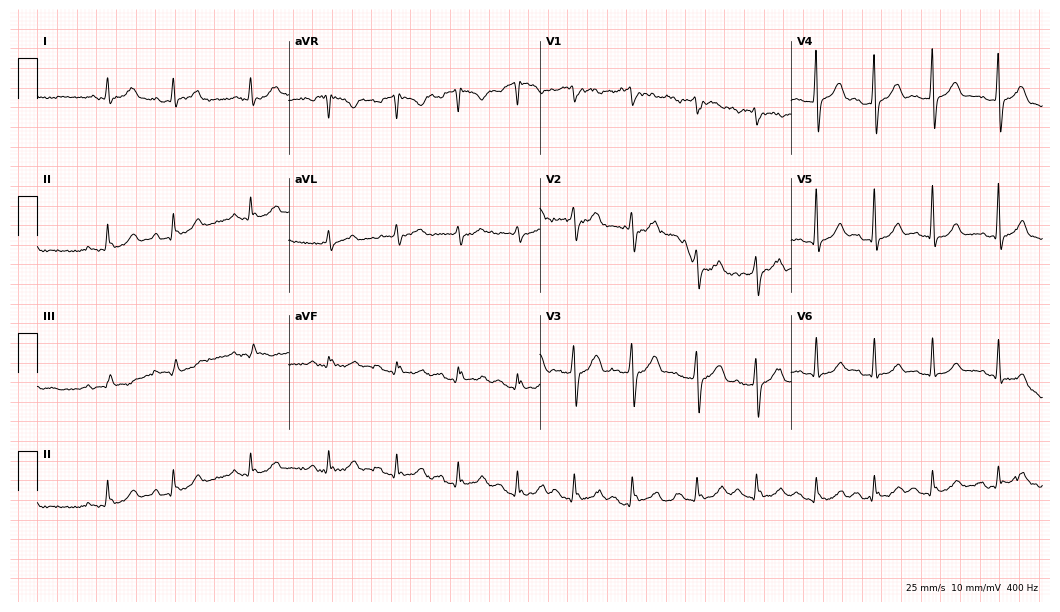
ECG — a male, 75 years old. Screened for six findings — first-degree AV block, right bundle branch block, left bundle branch block, sinus bradycardia, atrial fibrillation, sinus tachycardia — none is recorded.